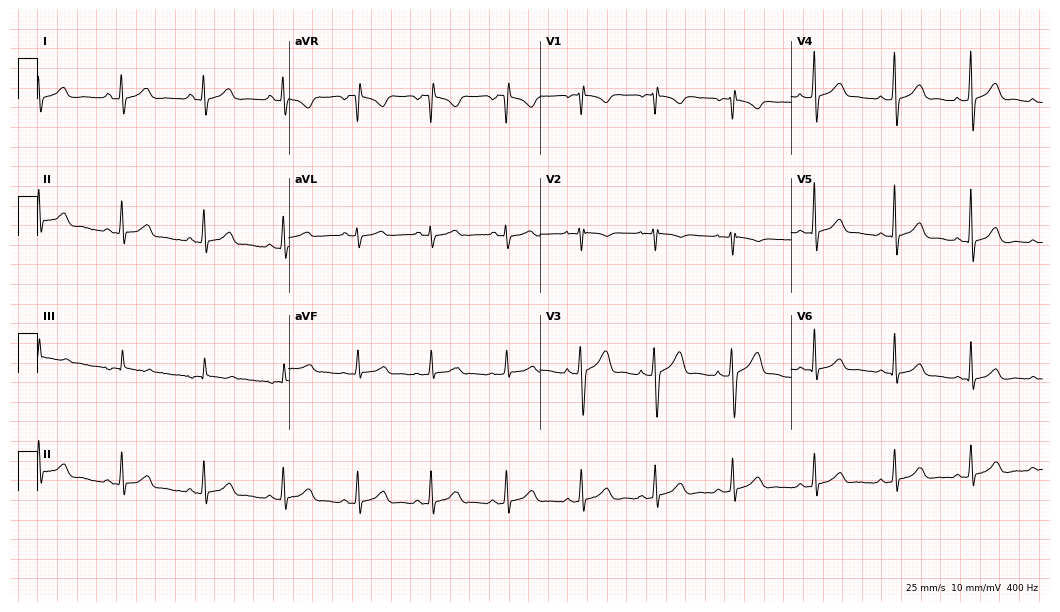
ECG (10.2-second recording at 400 Hz) — a female patient, 26 years old. Screened for six findings — first-degree AV block, right bundle branch block, left bundle branch block, sinus bradycardia, atrial fibrillation, sinus tachycardia — none is recorded. Only these six findings were labelled.